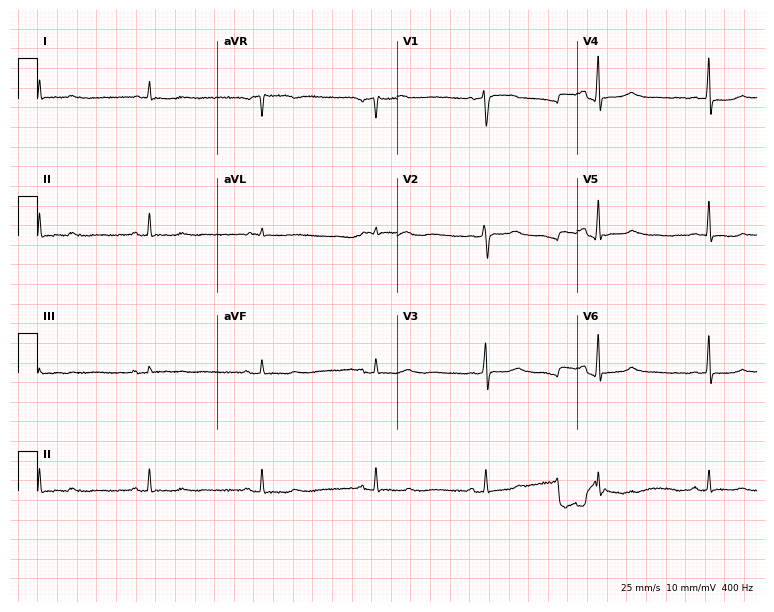
Resting 12-lead electrocardiogram. Patient: a female, 66 years old. None of these six findings is recorded: first-degree AV block, right bundle branch block, left bundle branch block, sinus bradycardia, atrial fibrillation, sinus tachycardia. Findings outside these six are not listed.